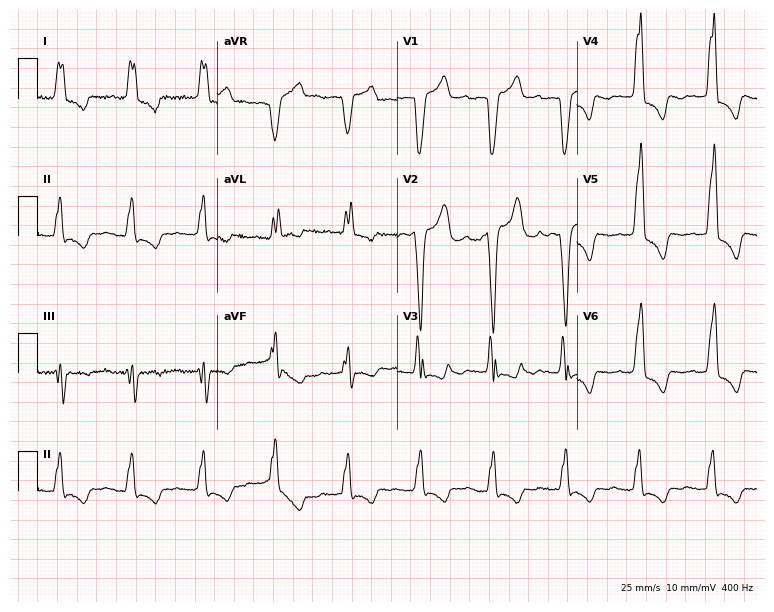
12-lead ECG (7.3-second recording at 400 Hz) from a 79-year-old female patient. Findings include first-degree AV block, left bundle branch block.